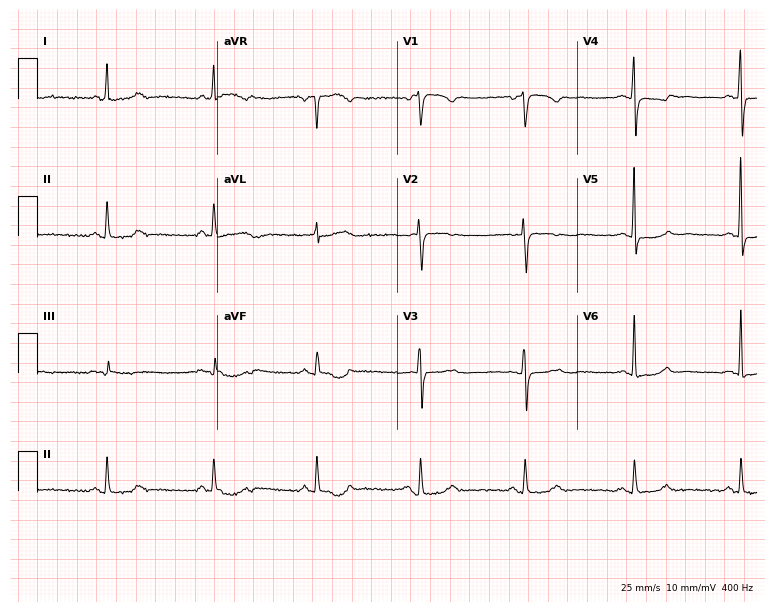
Electrocardiogram, a 67-year-old woman. Of the six screened findings (first-degree AV block, right bundle branch block, left bundle branch block, sinus bradycardia, atrial fibrillation, sinus tachycardia), none is recorded. Other findings, if any, are not listed.